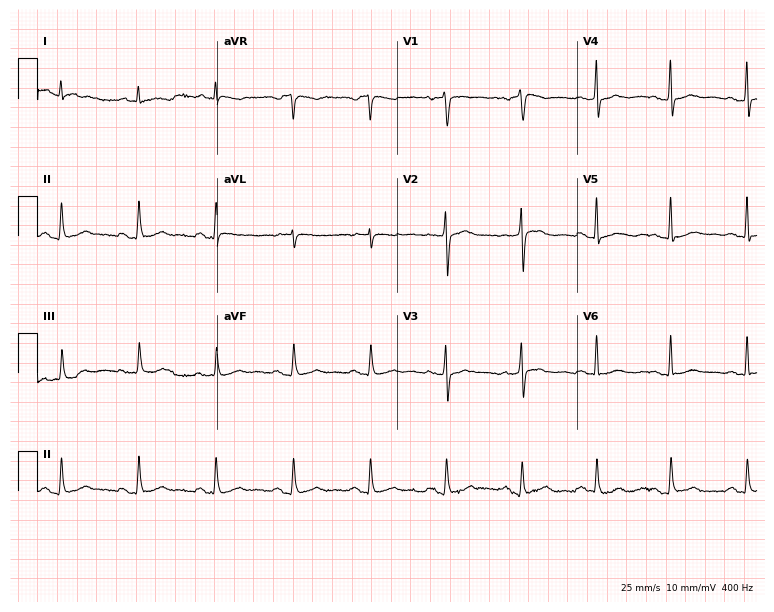
12-lead ECG from a male, 64 years old. Labelled as a normal ECG.